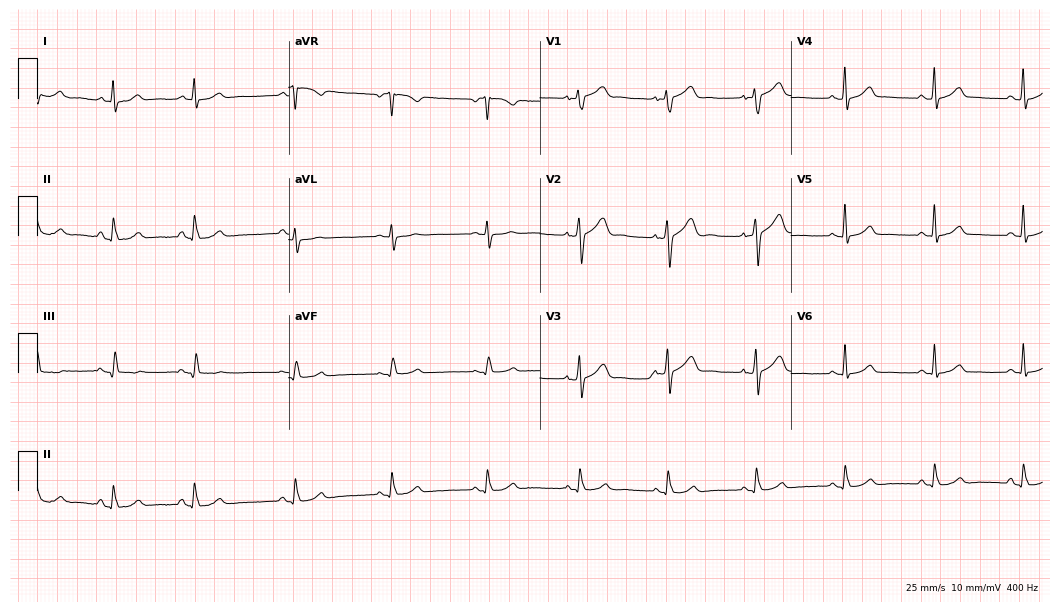
12-lead ECG from a 35-year-old male patient. Recorded interpretation: within normal limits.